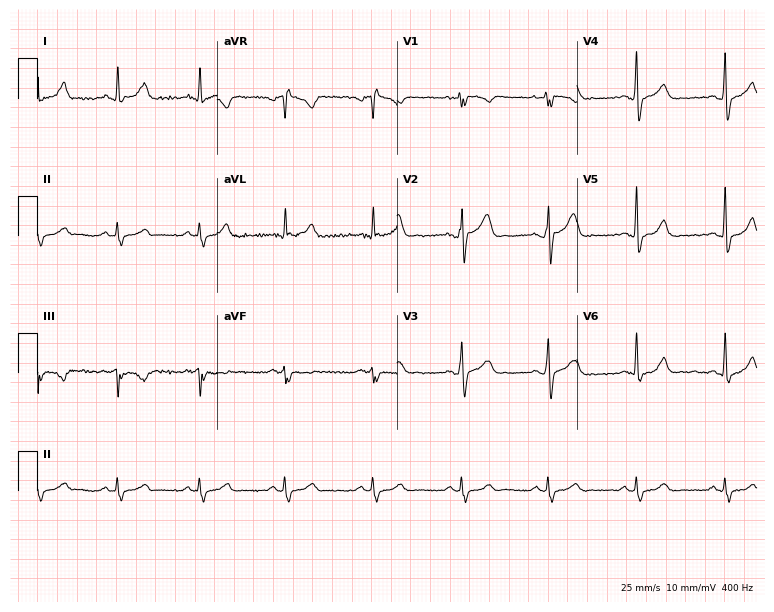
Electrocardiogram, a 40-year-old man. Of the six screened findings (first-degree AV block, right bundle branch block (RBBB), left bundle branch block (LBBB), sinus bradycardia, atrial fibrillation (AF), sinus tachycardia), none is recorded. Other findings, if any, are not listed.